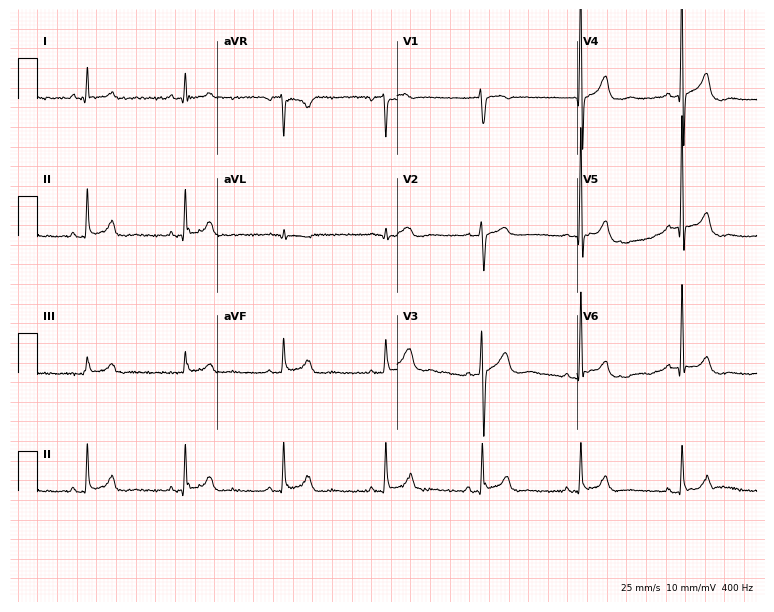
Resting 12-lead electrocardiogram. Patient: a male, 67 years old. Read as a normal ECG.